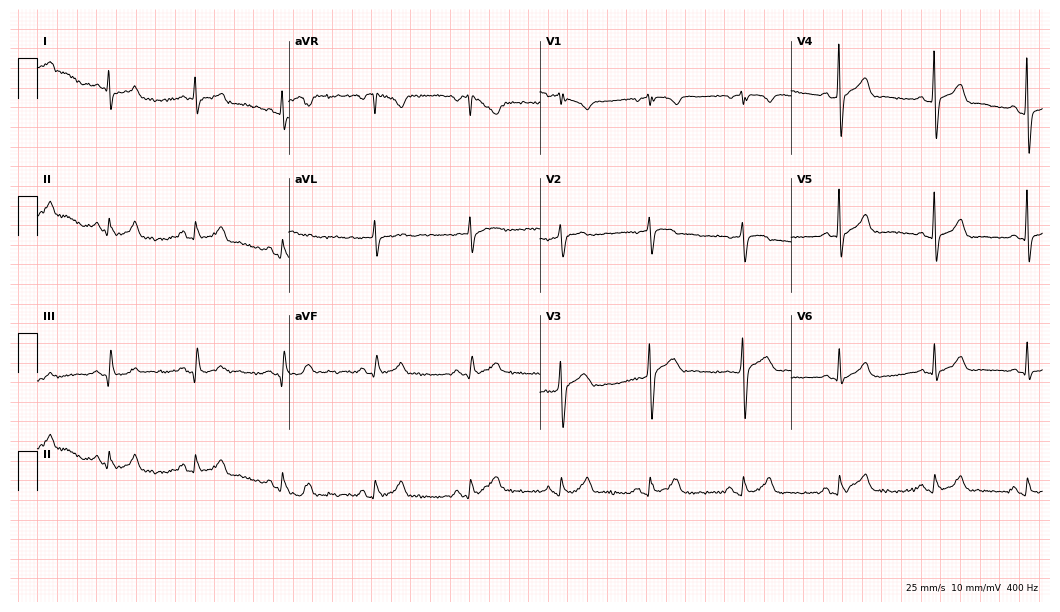
12-lead ECG from a 58-year-old man. Labelled as a normal ECG.